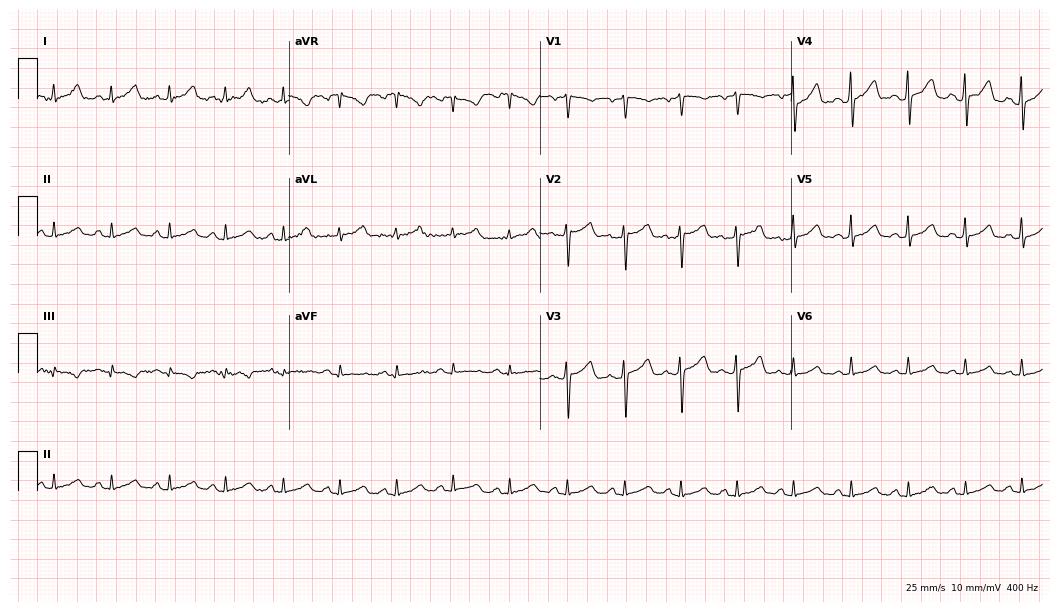
12-lead ECG from a woman, 53 years old (10.2-second recording at 400 Hz). Shows sinus tachycardia (a sinus rate of 100 beats per minute or more).